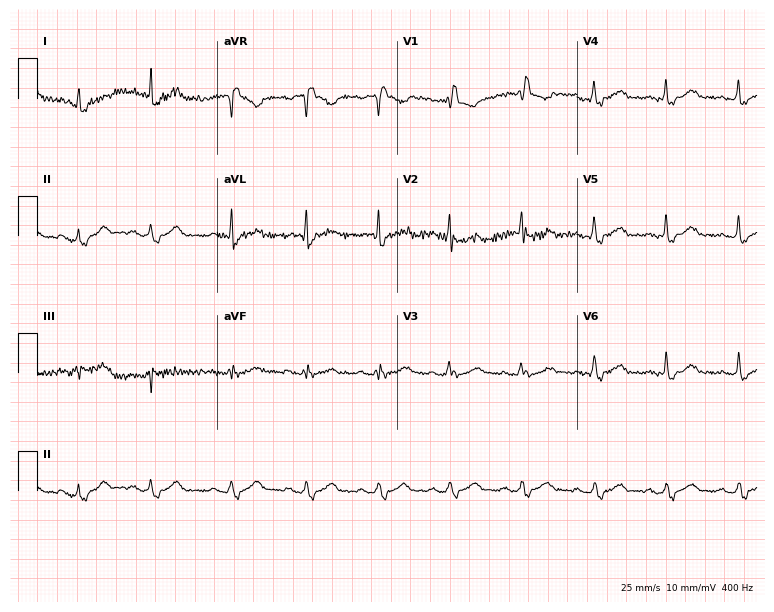
ECG (7.3-second recording at 400 Hz) — a female, 58 years old. Findings include right bundle branch block (RBBB).